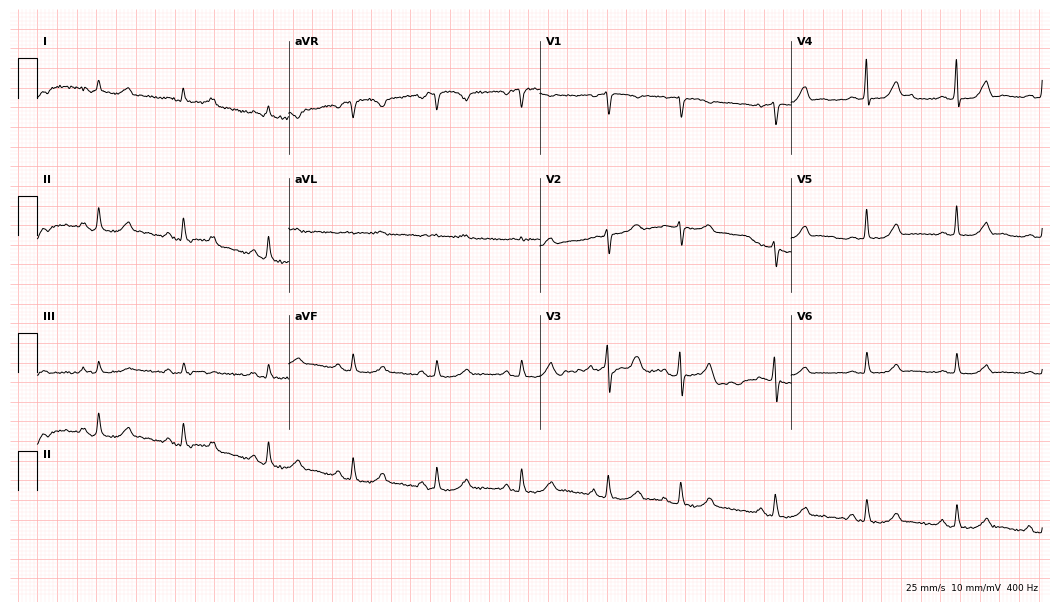
12-lead ECG from a male patient, 79 years old. Labelled as a normal ECG.